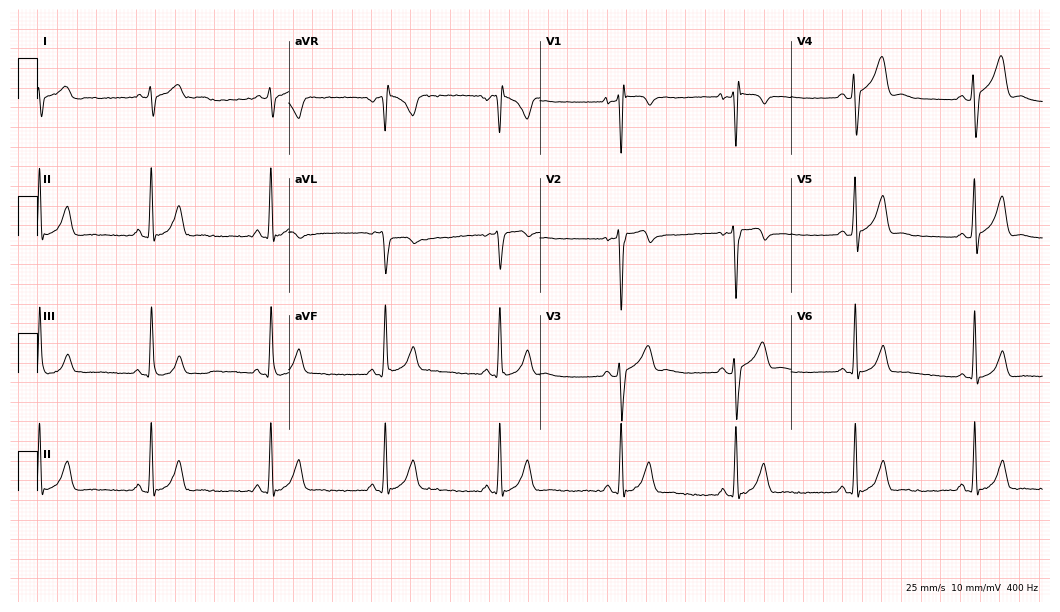
Resting 12-lead electrocardiogram (10.2-second recording at 400 Hz). Patient: a 28-year-old male. The tracing shows sinus bradycardia (a sinus rate of 50 beats per minute or less).